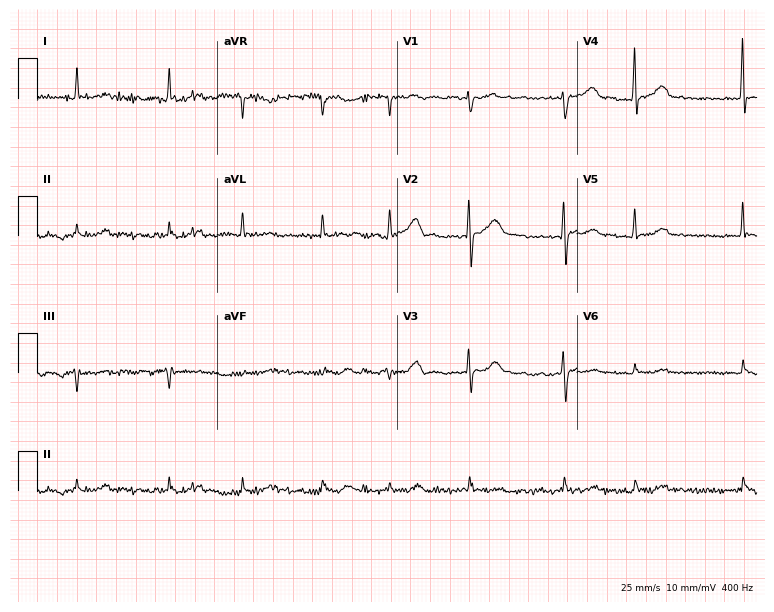
Resting 12-lead electrocardiogram (7.3-second recording at 400 Hz). Patient: a man, 84 years old. None of these six findings is recorded: first-degree AV block, right bundle branch block, left bundle branch block, sinus bradycardia, atrial fibrillation, sinus tachycardia.